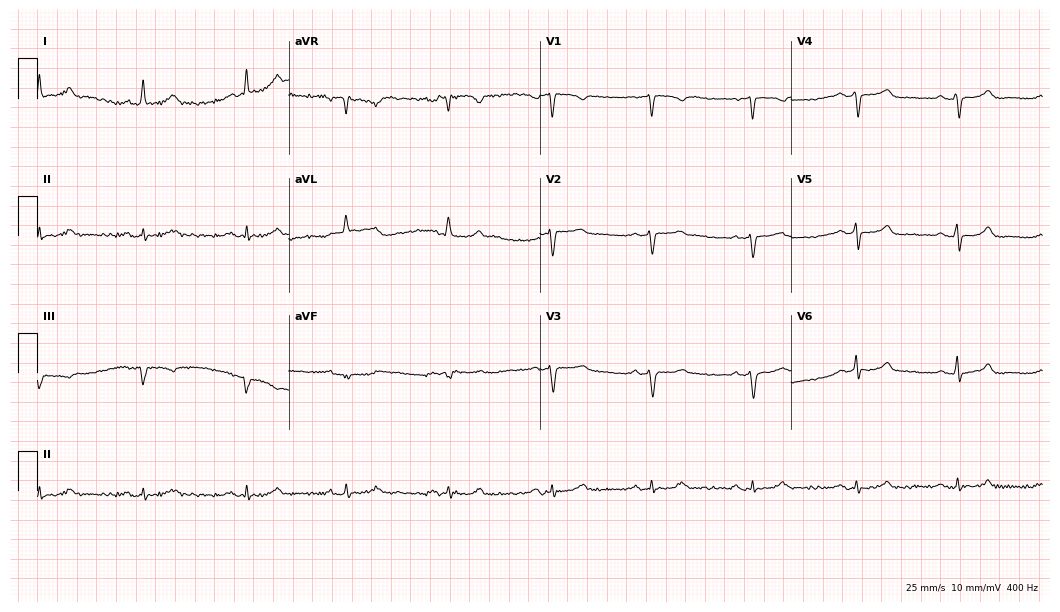
Electrocardiogram, a woman, 52 years old. Of the six screened findings (first-degree AV block, right bundle branch block (RBBB), left bundle branch block (LBBB), sinus bradycardia, atrial fibrillation (AF), sinus tachycardia), none is recorded.